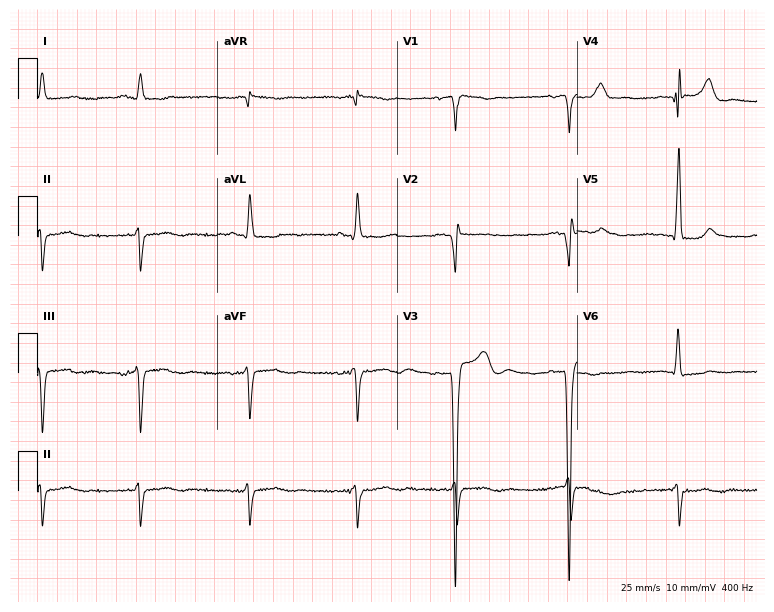
12-lead ECG from a 68-year-old male patient. Shows right bundle branch block.